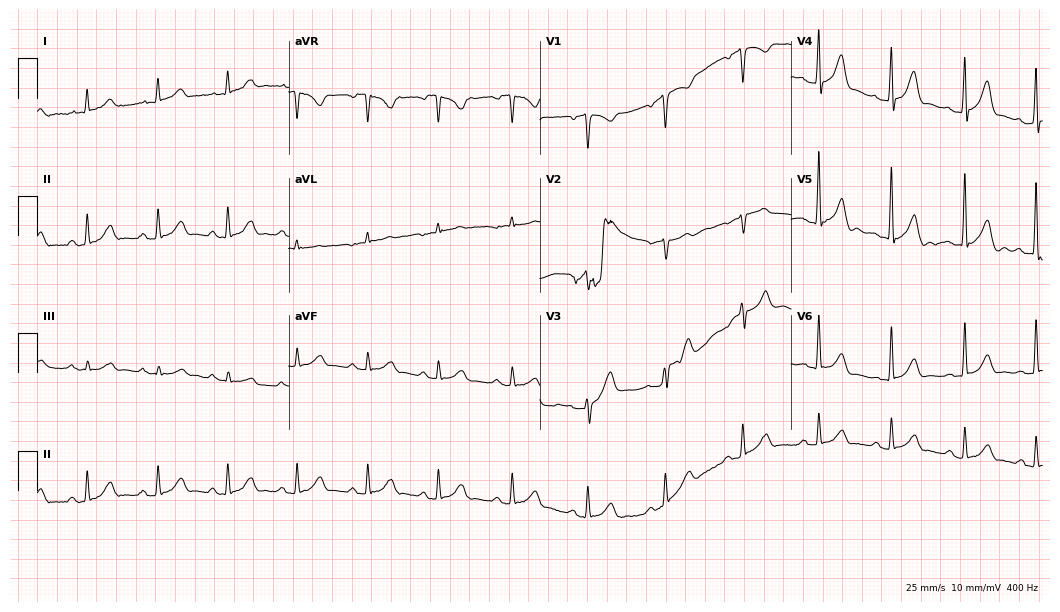
Standard 12-lead ECG recorded from a man, 56 years old. None of these six findings is recorded: first-degree AV block, right bundle branch block, left bundle branch block, sinus bradycardia, atrial fibrillation, sinus tachycardia. Only these six findings were labelled.